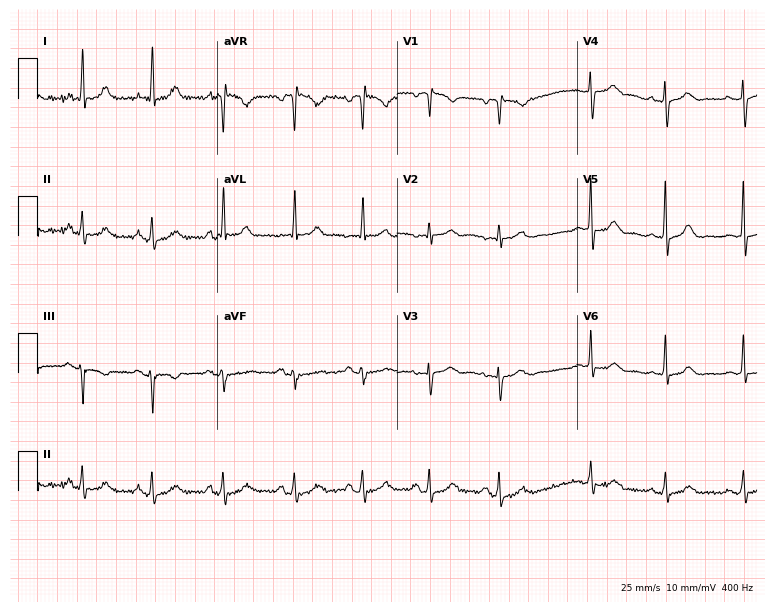
ECG — a female patient, 47 years old. Screened for six findings — first-degree AV block, right bundle branch block, left bundle branch block, sinus bradycardia, atrial fibrillation, sinus tachycardia — none is recorded.